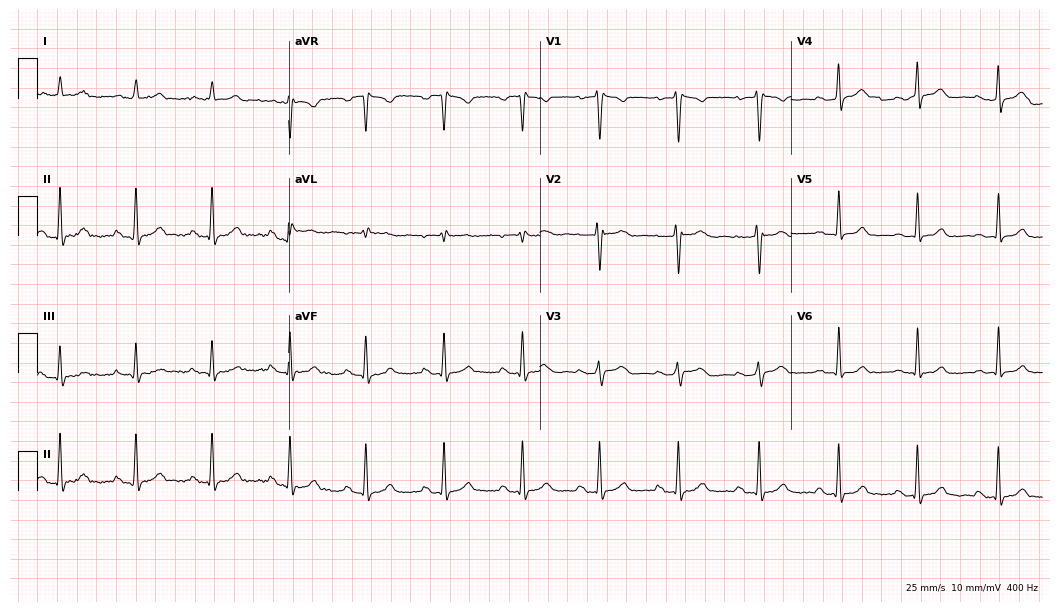
ECG (10.2-second recording at 400 Hz) — a female, 35 years old. Labelled as a normal ECG.